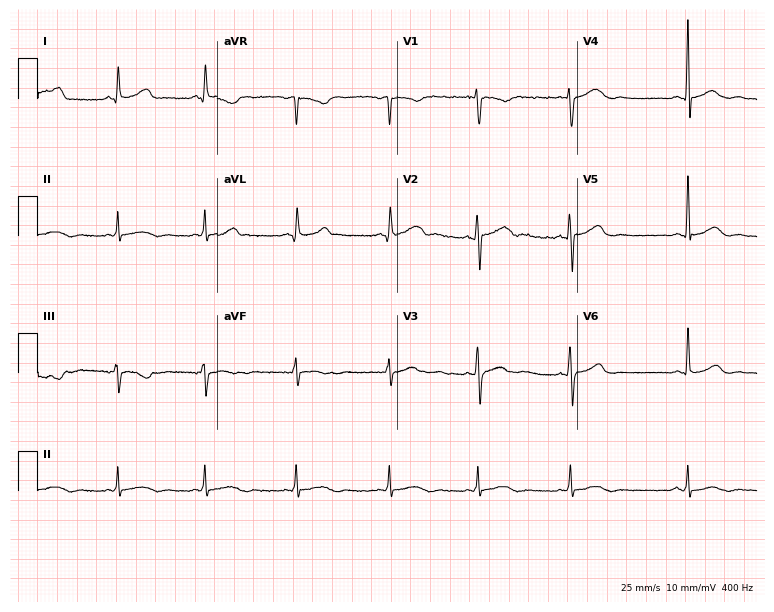
Resting 12-lead electrocardiogram (7.3-second recording at 400 Hz). Patient: a 39-year-old woman. Read as a normal ECG.